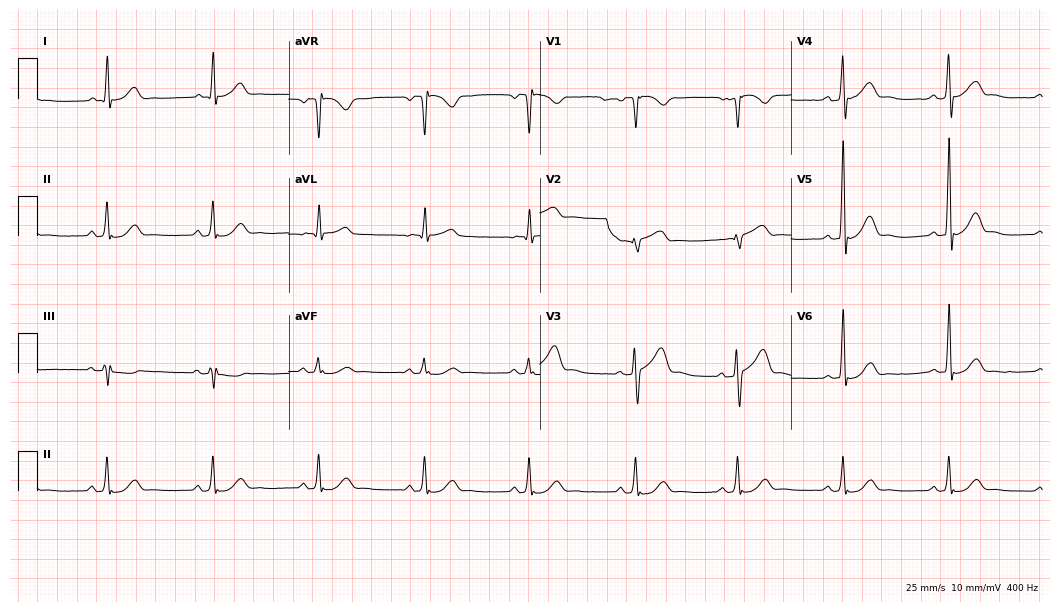
Electrocardiogram, a 66-year-old male. Overall reading on record: normal ECG.